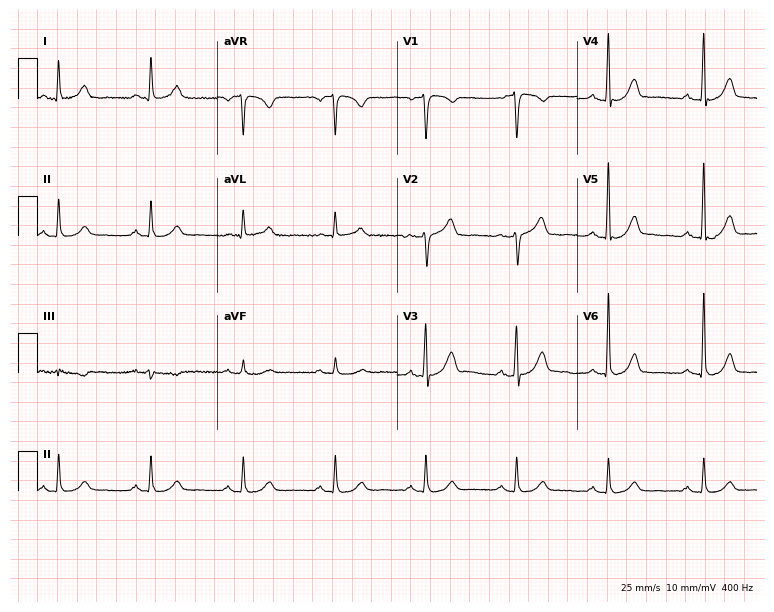
12-lead ECG from a 51-year-old male. Recorded interpretation: within normal limits.